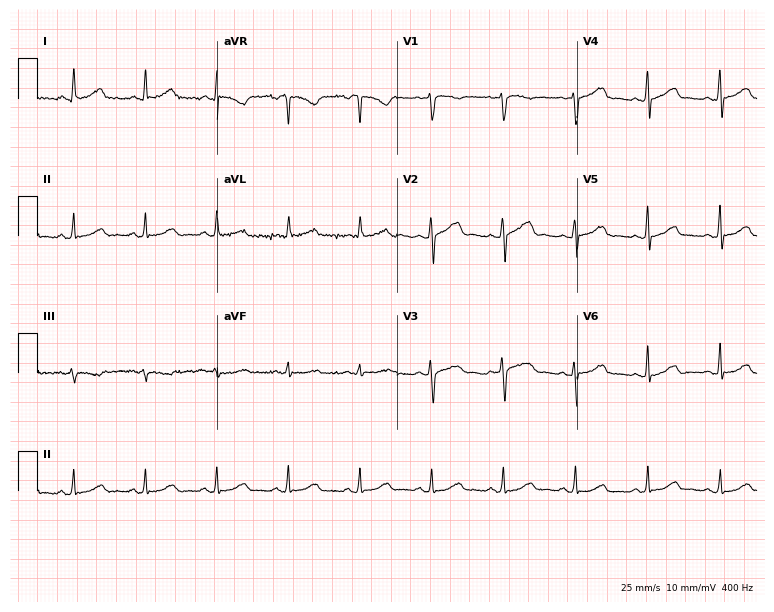
12-lead ECG from a female patient, 50 years old (7.3-second recording at 400 Hz). Recorded interpretation: within normal limits.